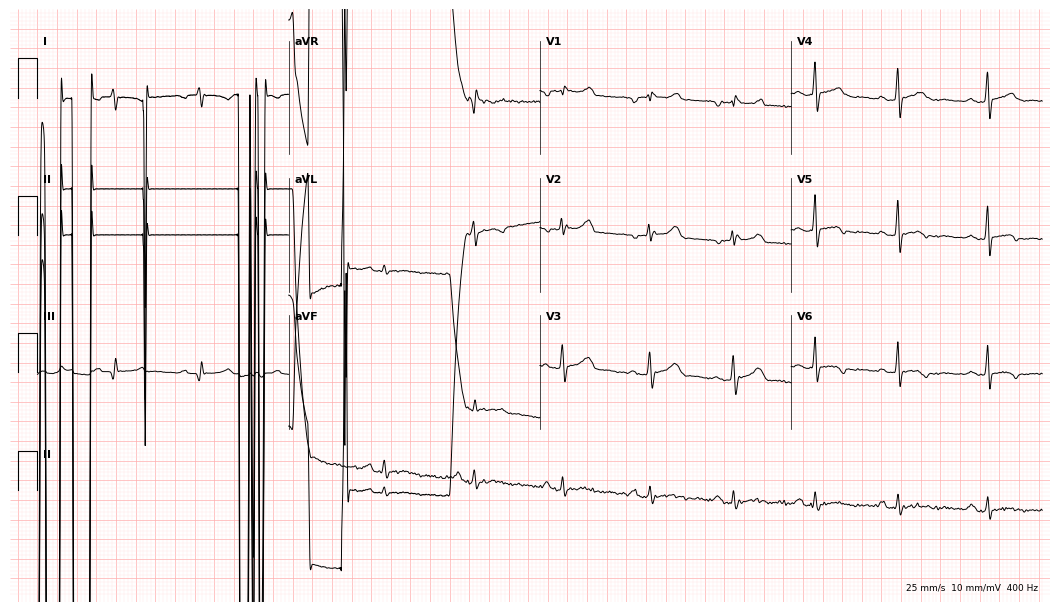
12-lead ECG from a 35-year-old man. No first-degree AV block, right bundle branch block, left bundle branch block, sinus bradycardia, atrial fibrillation or sinus tachycardia recorded for this tracing. Only these six findings were labelled.